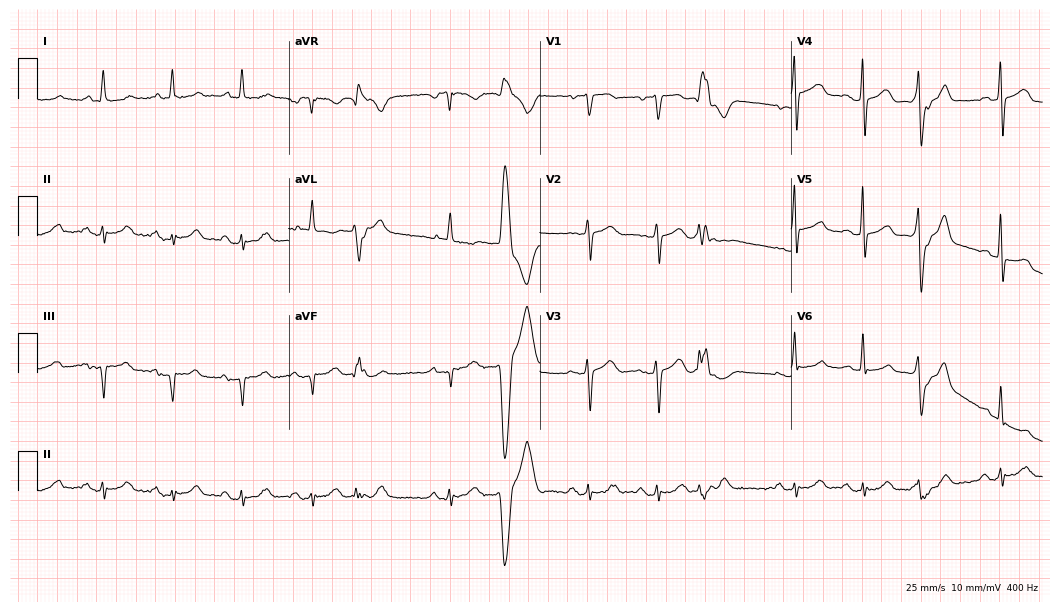
12-lead ECG from a female, 74 years old. No first-degree AV block, right bundle branch block, left bundle branch block, sinus bradycardia, atrial fibrillation or sinus tachycardia recorded for this tracing.